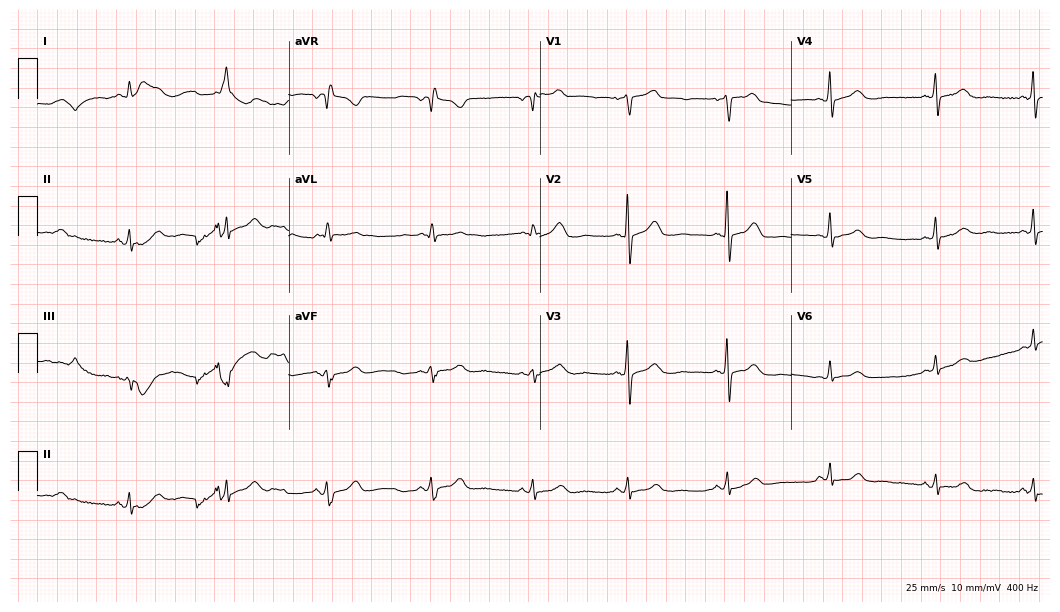
Standard 12-lead ECG recorded from a 63-year-old woman. Read as a normal ECG.